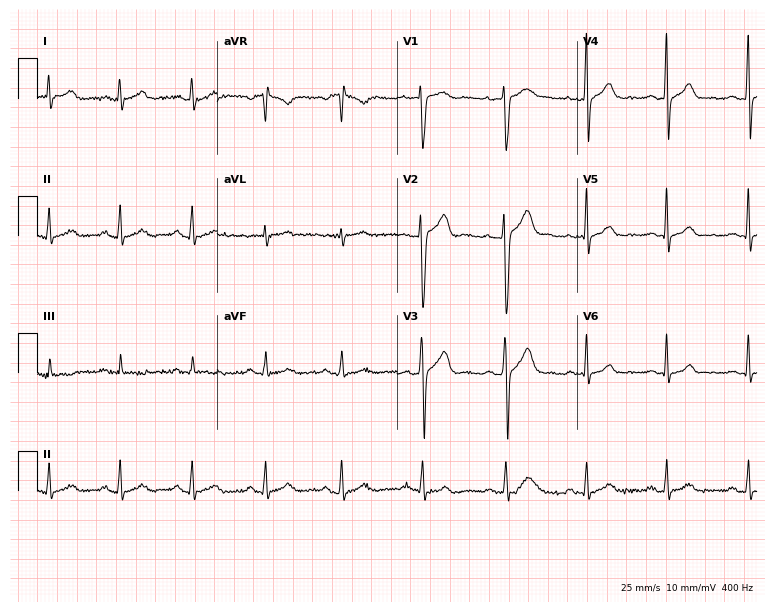
Standard 12-lead ECG recorded from a 34-year-old male patient. None of these six findings is recorded: first-degree AV block, right bundle branch block, left bundle branch block, sinus bradycardia, atrial fibrillation, sinus tachycardia.